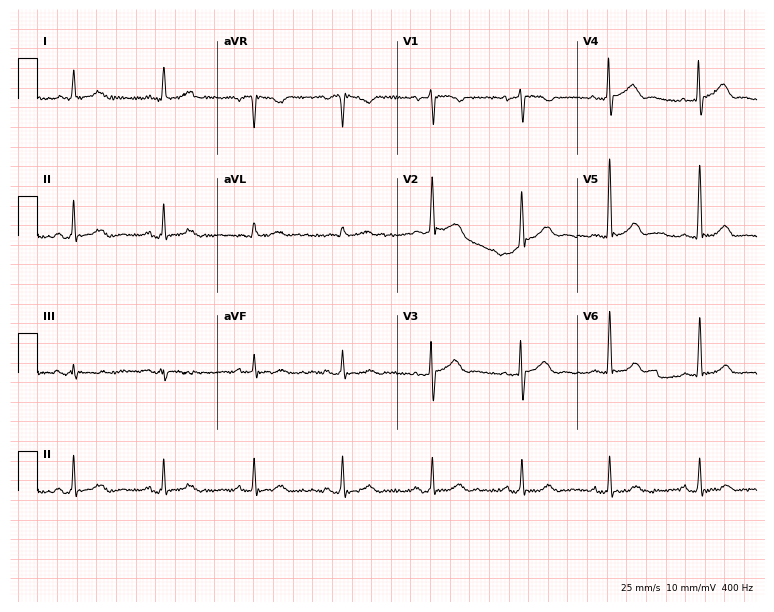
Standard 12-lead ECG recorded from a 72-year-old female patient (7.3-second recording at 400 Hz). Read as a normal ECG.